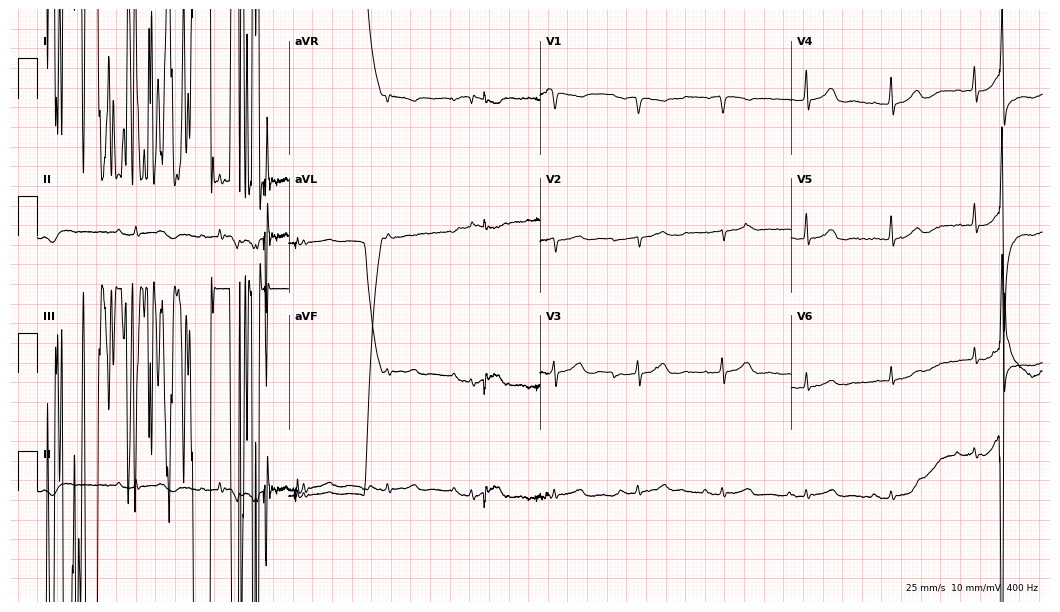
Resting 12-lead electrocardiogram. Patient: a male, 85 years old. None of these six findings is recorded: first-degree AV block, right bundle branch block, left bundle branch block, sinus bradycardia, atrial fibrillation, sinus tachycardia. Other findings, if any, are not listed.